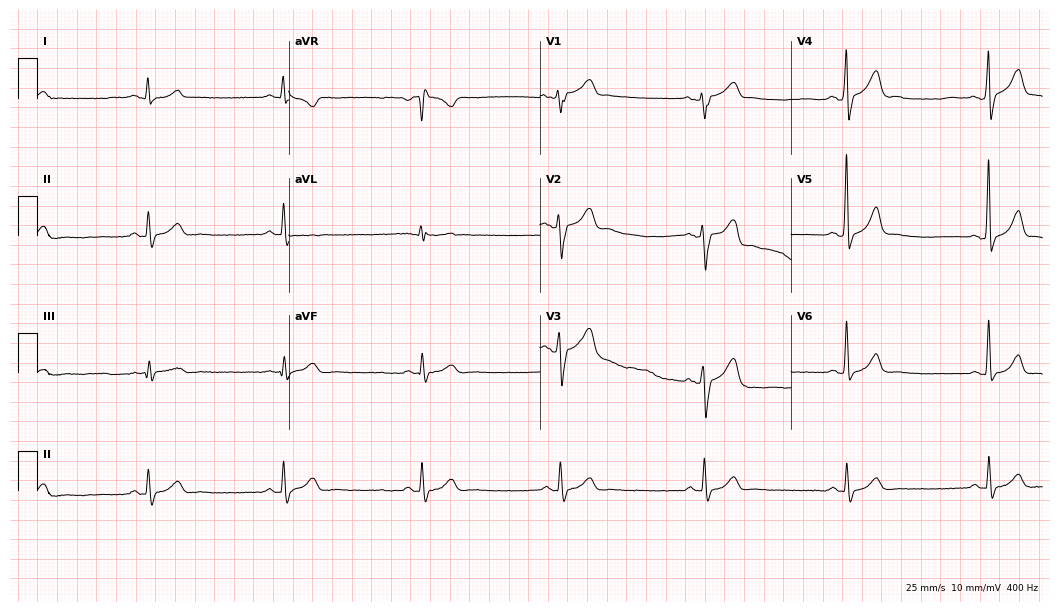
ECG — a 49-year-old male patient. Findings include sinus bradycardia (a sinus rate of 50 beats per minute or less).